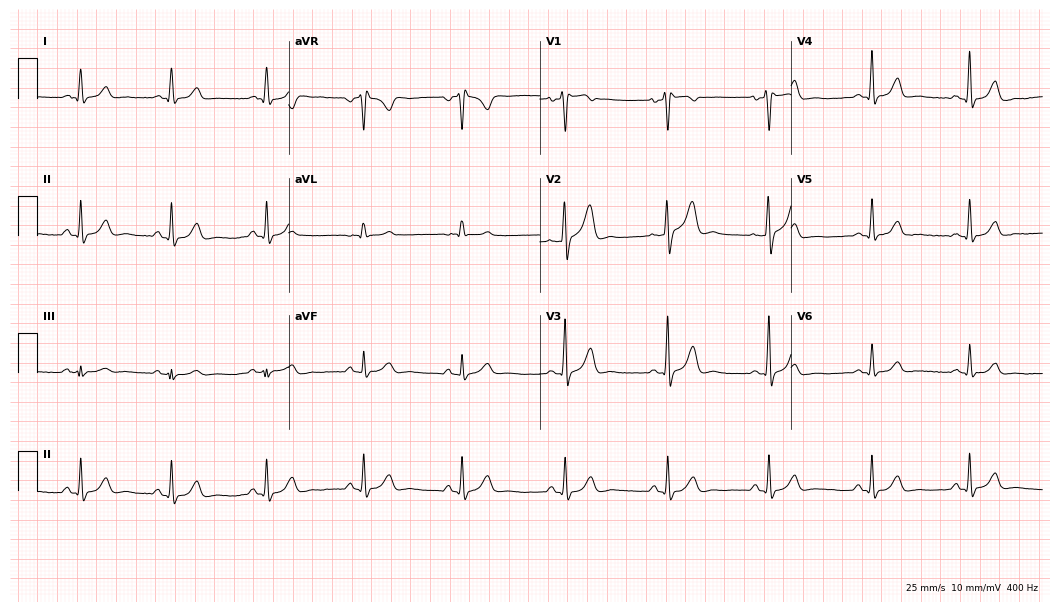
12-lead ECG from a man, 48 years old. No first-degree AV block, right bundle branch block, left bundle branch block, sinus bradycardia, atrial fibrillation or sinus tachycardia recorded for this tracing. Only these six findings were labelled.